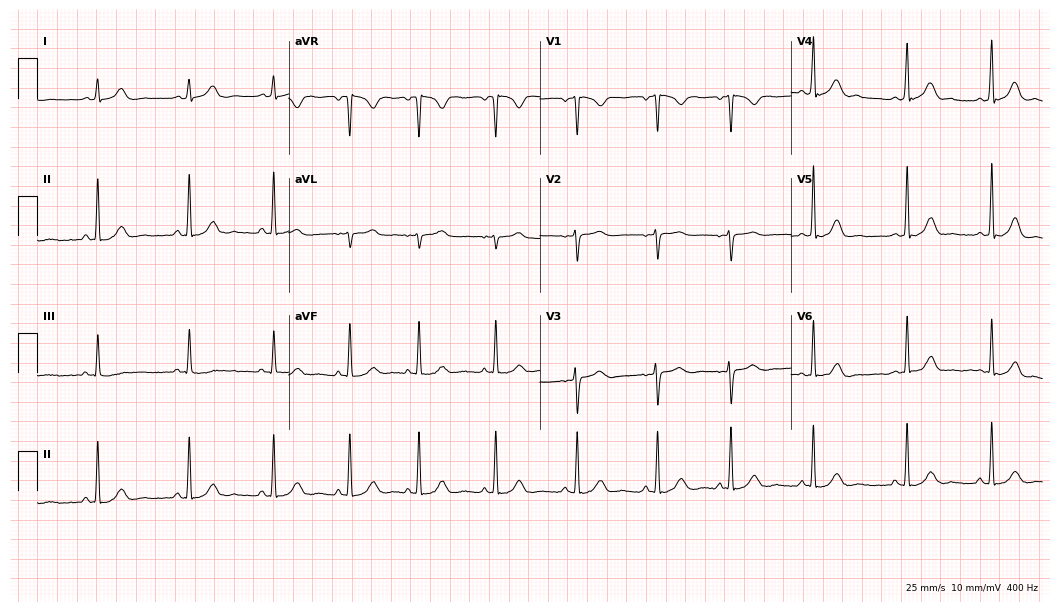
Resting 12-lead electrocardiogram (10.2-second recording at 400 Hz). Patient: an 18-year-old female. Read as a normal ECG.